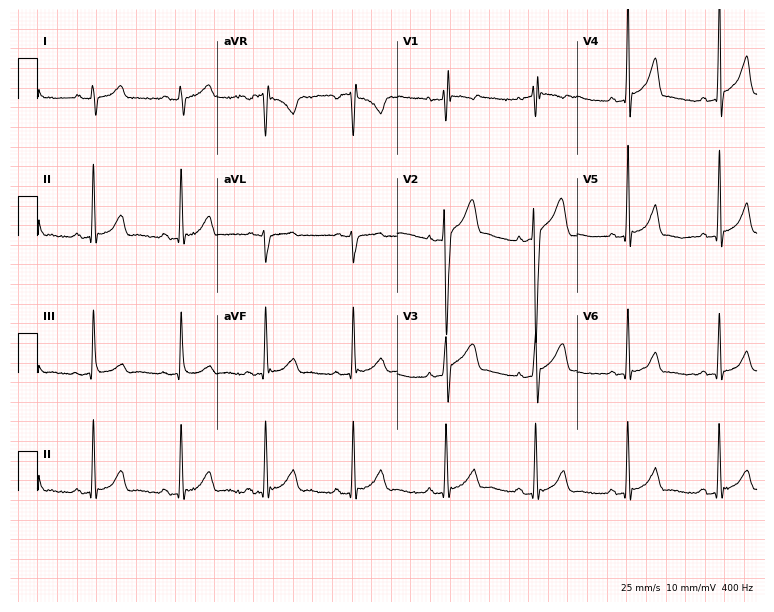
Resting 12-lead electrocardiogram (7.3-second recording at 400 Hz). Patient: a 21-year-old man. Read as a normal ECG.